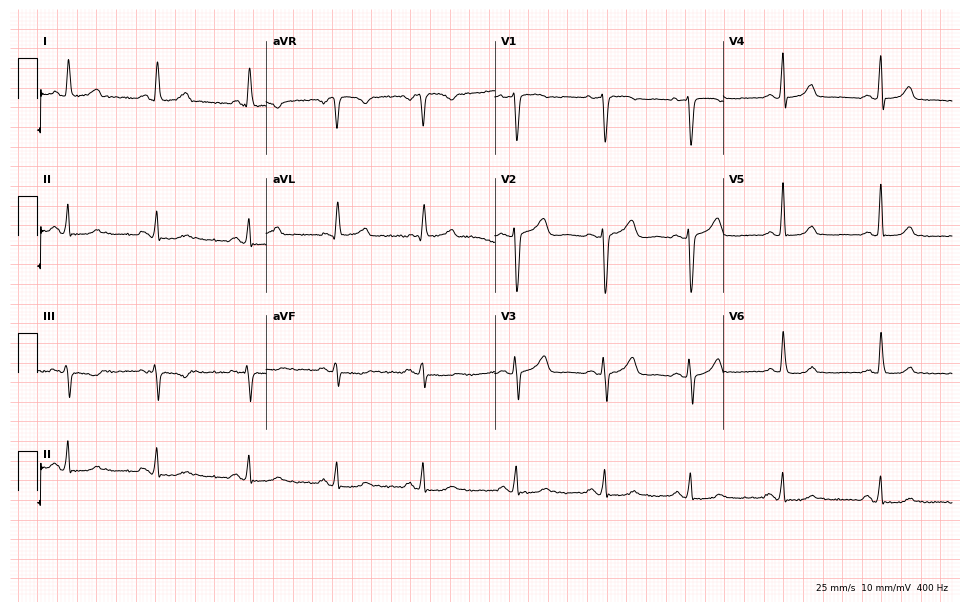
Standard 12-lead ECG recorded from a 57-year-old woman. Read as a normal ECG.